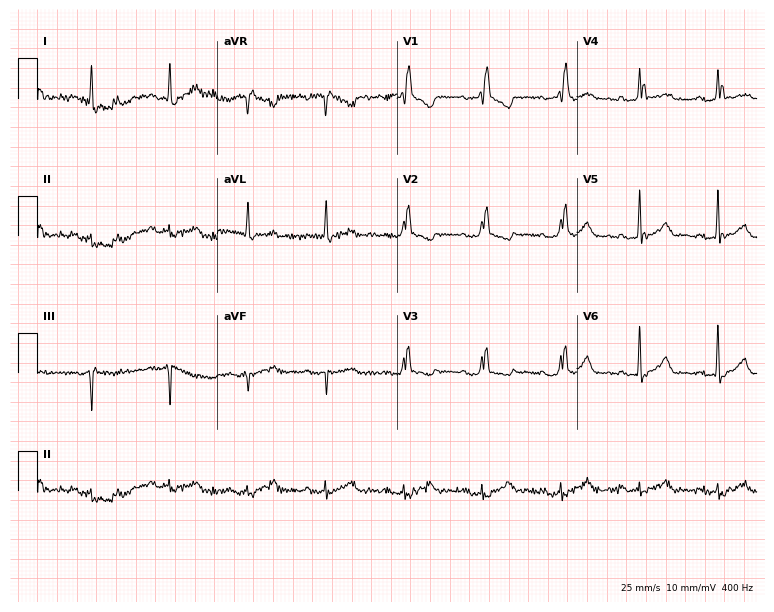
Resting 12-lead electrocardiogram (7.3-second recording at 400 Hz). Patient: a female, 66 years old. None of these six findings is recorded: first-degree AV block, right bundle branch block (RBBB), left bundle branch block (LBBB), sinus bradycardia, atrial fibrillation (AF), sinus tachycardia. Only these six findings were labelled.